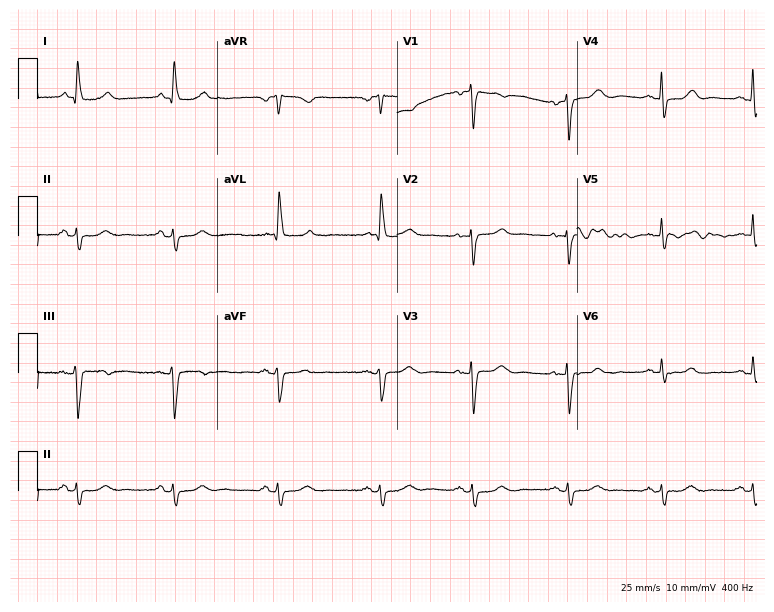
Resting 12-lead electrocardiogram. Patient: an 82-year-old woman. None of these six findings is recorded: first-degree AV block, right bundle branch block, left bundle branch block, sinus bradycardia, atrial fibrillation, sinus tachycardia.